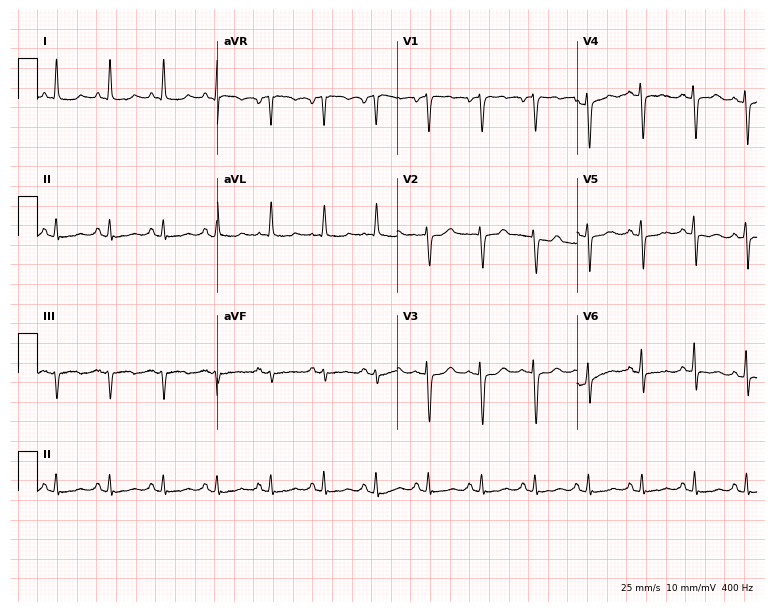
Standard 12-lead ECG recorded from an 84-year-old woman (7.3-second recording at 400 Hz). The tracing shows sinus tachycardia (a sinus rate of 100 beats per minute or more).